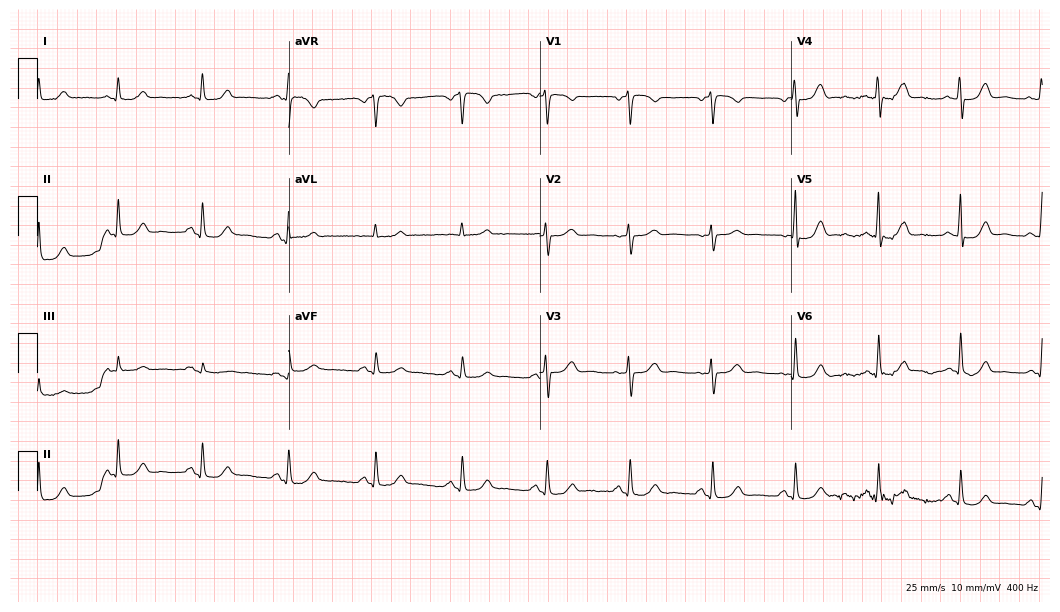
Resting 12-lead electrocardiogram. Patient: a 66-year-old female. Read as a normal ECG.